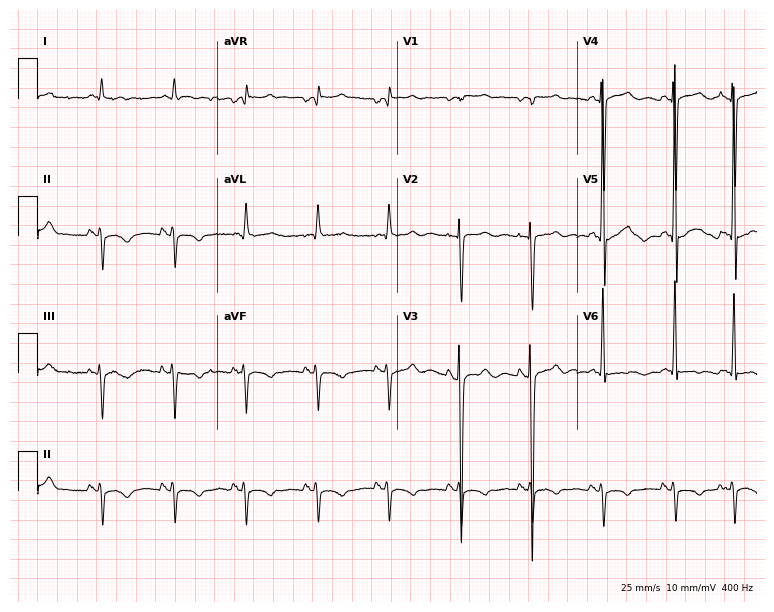
12-lead ECG from a man, 81 years old. Screened for six findings — first-degree AV block, right bundle branch block, left bundle branch block, sinus bradycardia, atrial fibrillation, sinus tachycardia — none is recorded. Only these six findings were labelled.